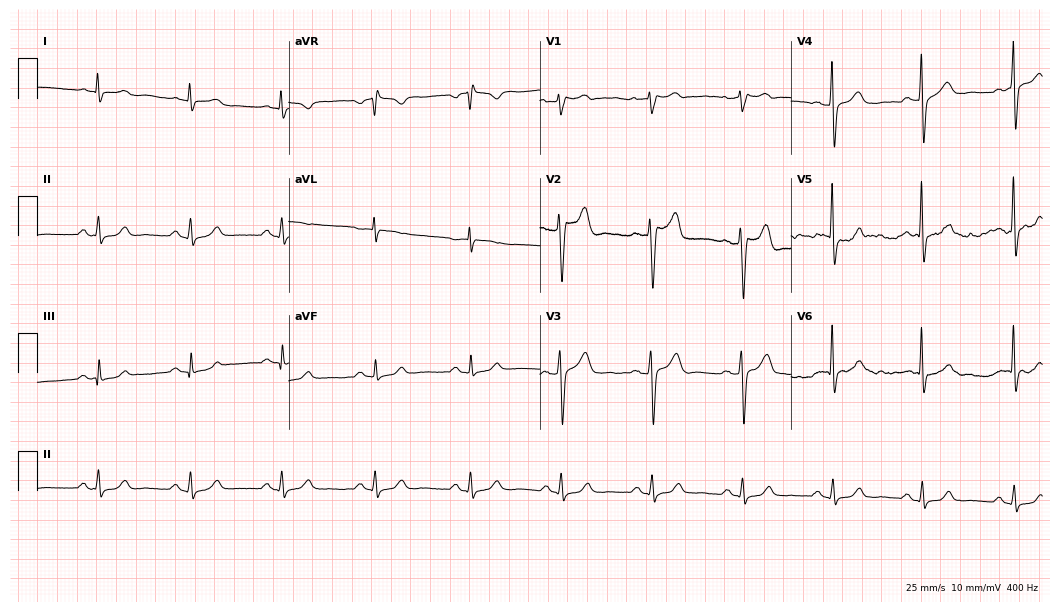
Resting 12-lead electrocardiogram (10.2-second recording at 400 Hz). Patient: a 61-year-old male. None of these six findings is recorded: first-degree AV block, right bundle branch block, left bundle branch block, sinus bradycardia, atrial fibrillation, sinus tachycardia. Findings outside these six are not listed.